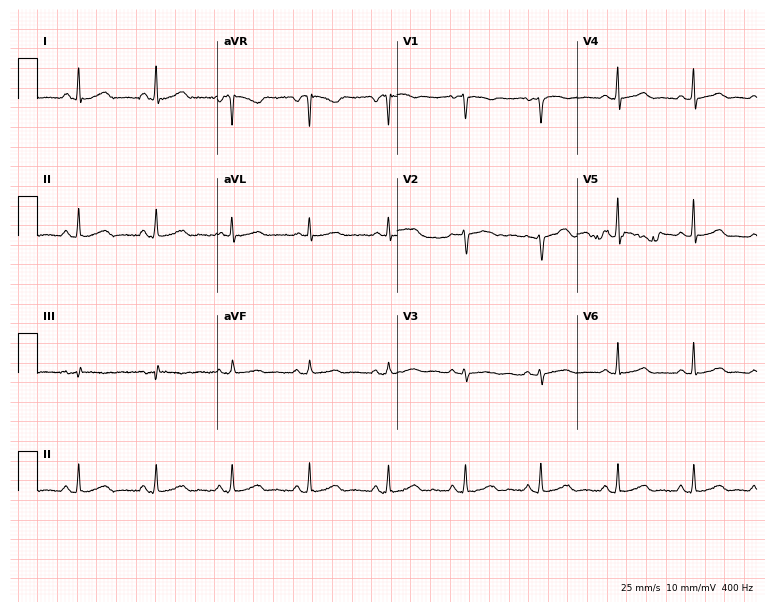
12-lead ECG from a 49-year-old female patient. Labelled as a normal ECG.